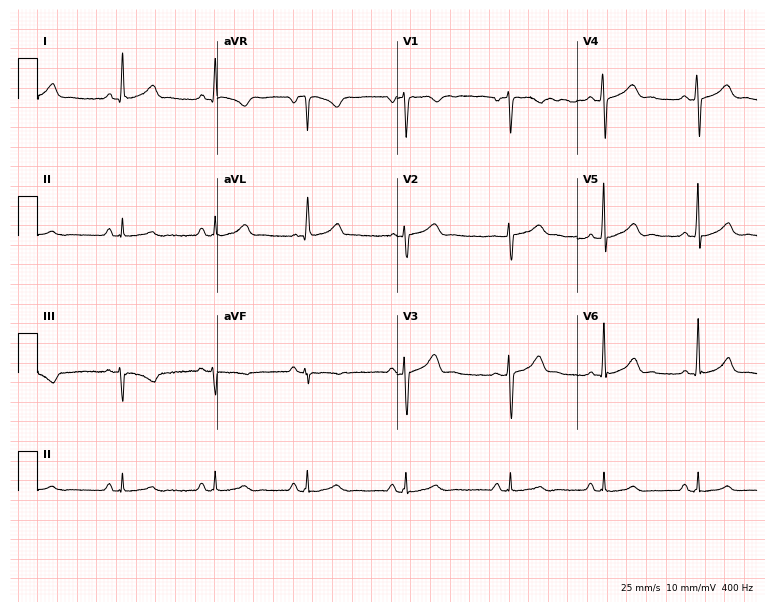
Resting 12-lead electrocardiogram. Patient: a 47-year-old female. Read as a normal ECG.